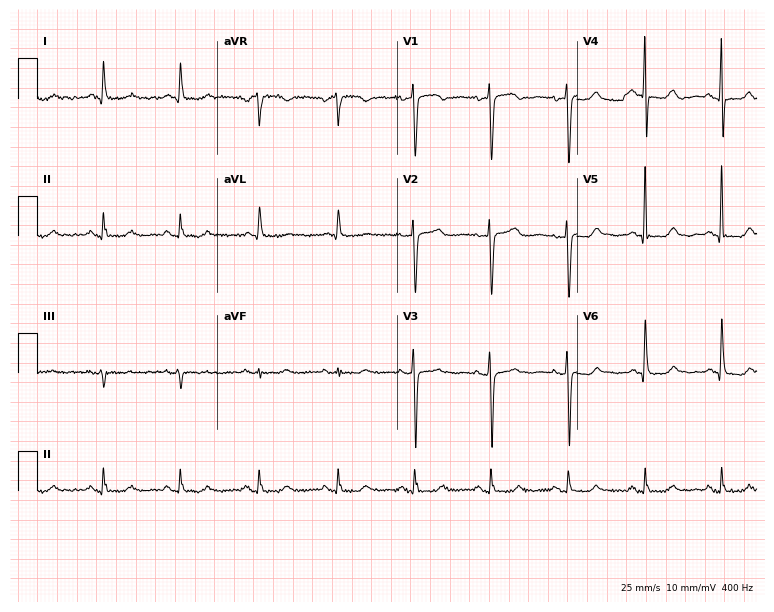
Resting 12-lead electrocardiogram (7.3-second recording at 400 Hz). Patient: a 72-year-old female. None of these six findings is recorded: first-degree AV block, right bundle branch block, left bundle branch block, sinus bradycardia, atrial fibrillation, sinus tachycardia.